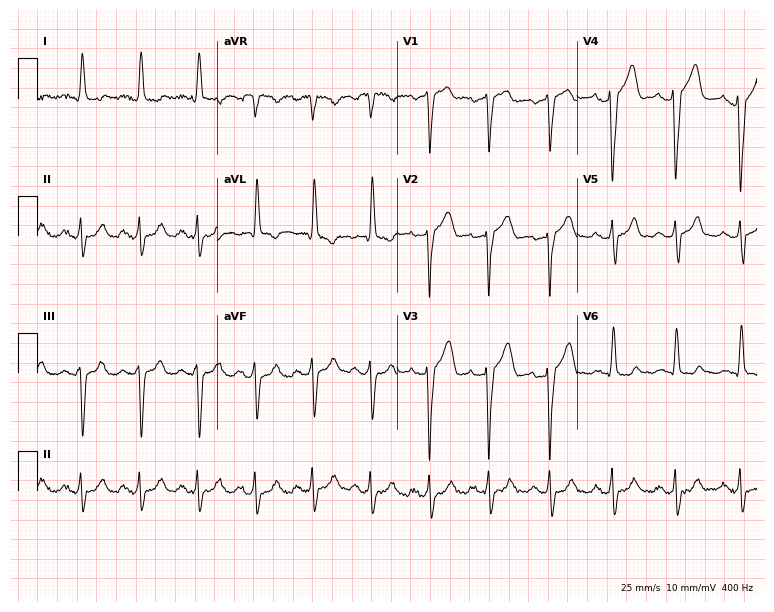
12-lead ECG from a 78-year-old man. Screened for six findings — first-degree AV block, right bundle branch block (RBBB), left bundle branch block (LBBB), sinus bradycardia, atrial fibrillation (AF), sinus tachycardia — none is recorded.